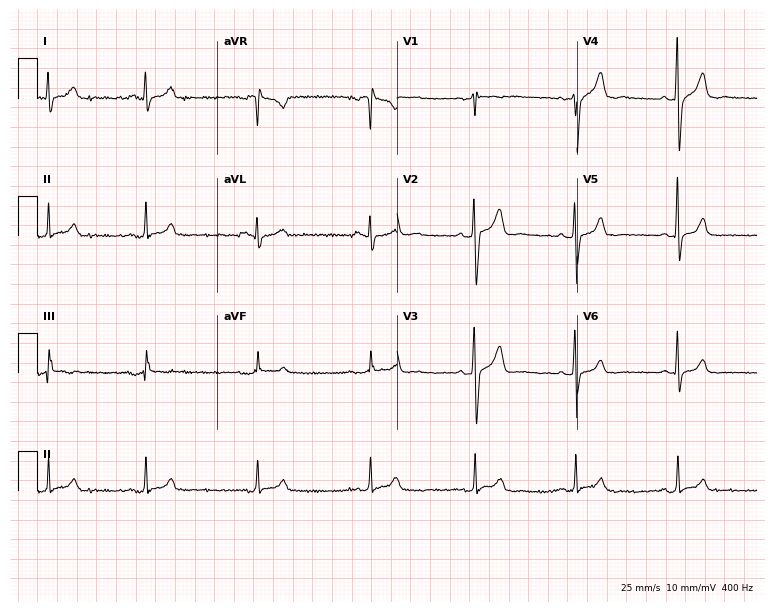
12-lead ECG from a male patient, 28 years old (7.3-second recording at 400 Hz). Recorded interpretation: within normal limits.